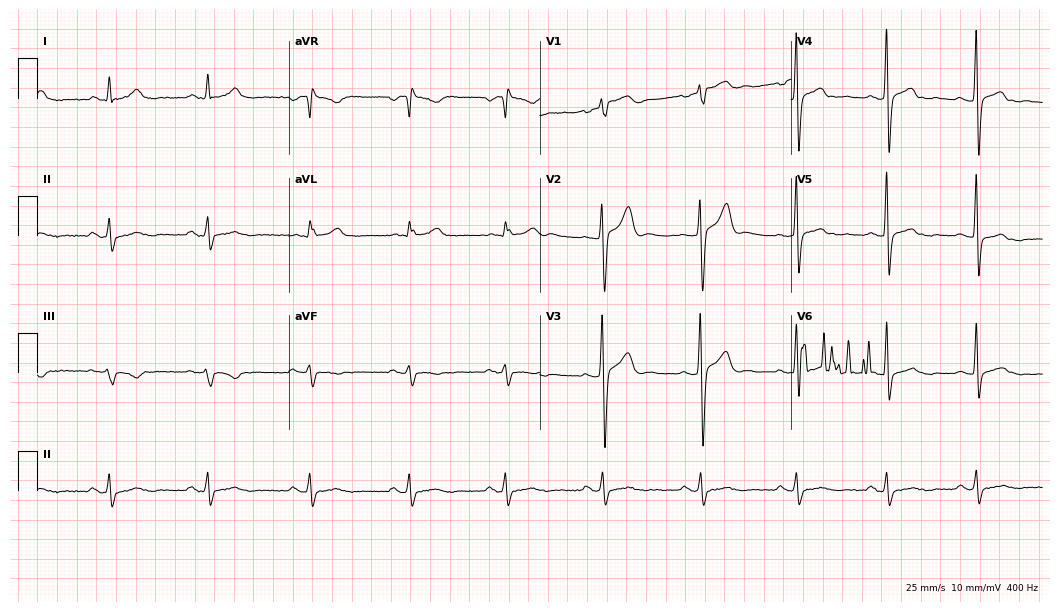
Resting 12-lead electrocardiogram (10.2-second recording at 400 Hz). Patient: a 38-year-old male. None of these six findings is recorded: first-degree AV block, right bundle branch block (RBBB), left bundle branch block (LBBB), sinus bradycardia, atrial fibrillation (AF), sinus tachycardia.